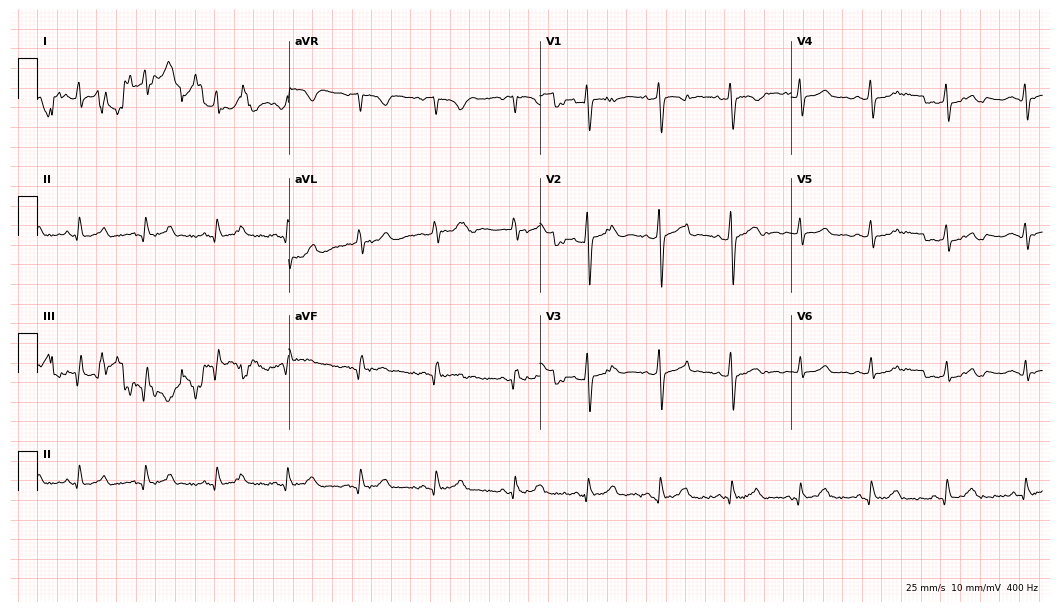
ECG — a female patient, 32 years old. Labelled as a normal ECG.